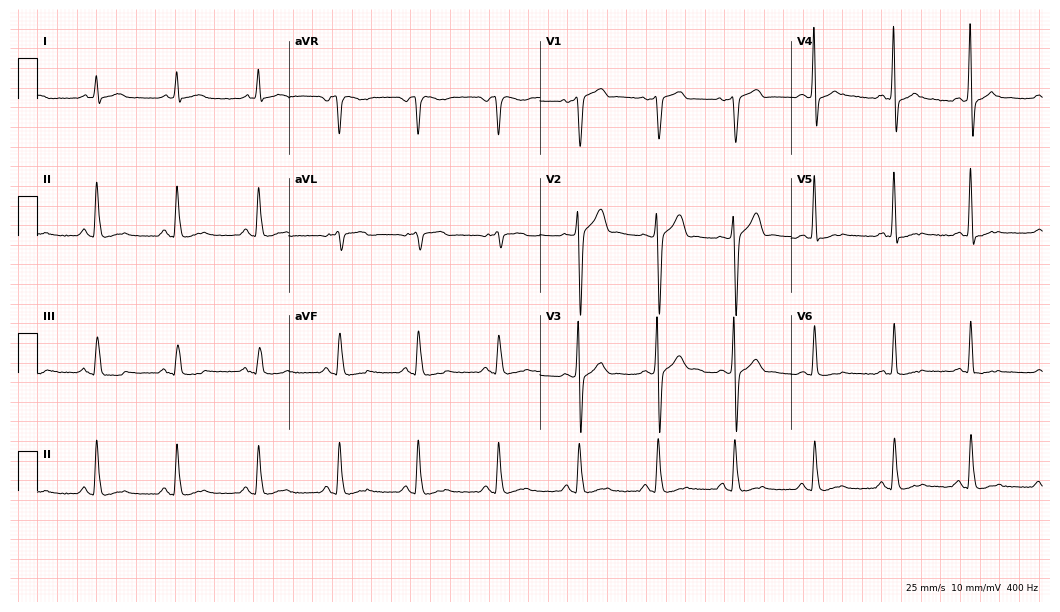
Electrocardiogram (10.2-second recording at 400 Hz), a 59-year-old man. Of the six screened findings (first-degree AV block, right bundle branch block, left bundle branch block, sinus bradycardia, atrial fibrillation, sinus tachycardia), none is recorded. Other findings, if any, are not listed.